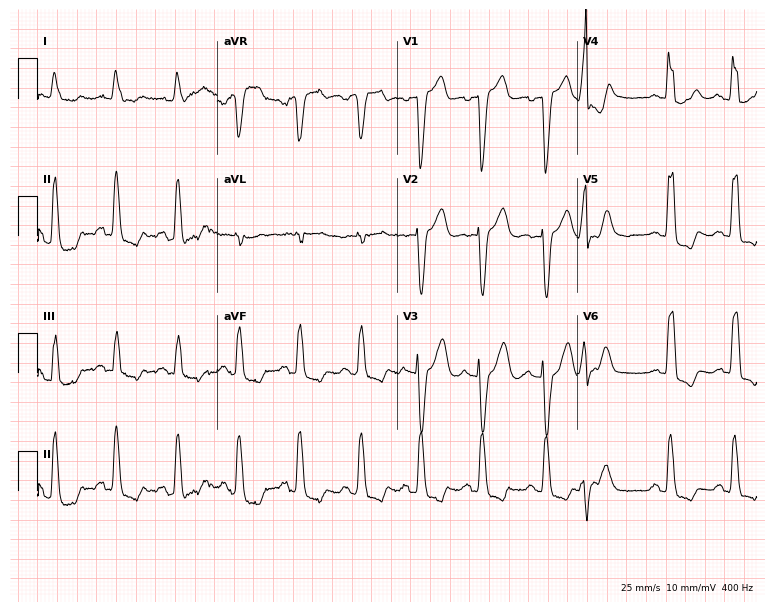
Standard 12-lead ECG recorded from a female patient, 81 years old. The tracing shows left bundle branch block (LBBB).